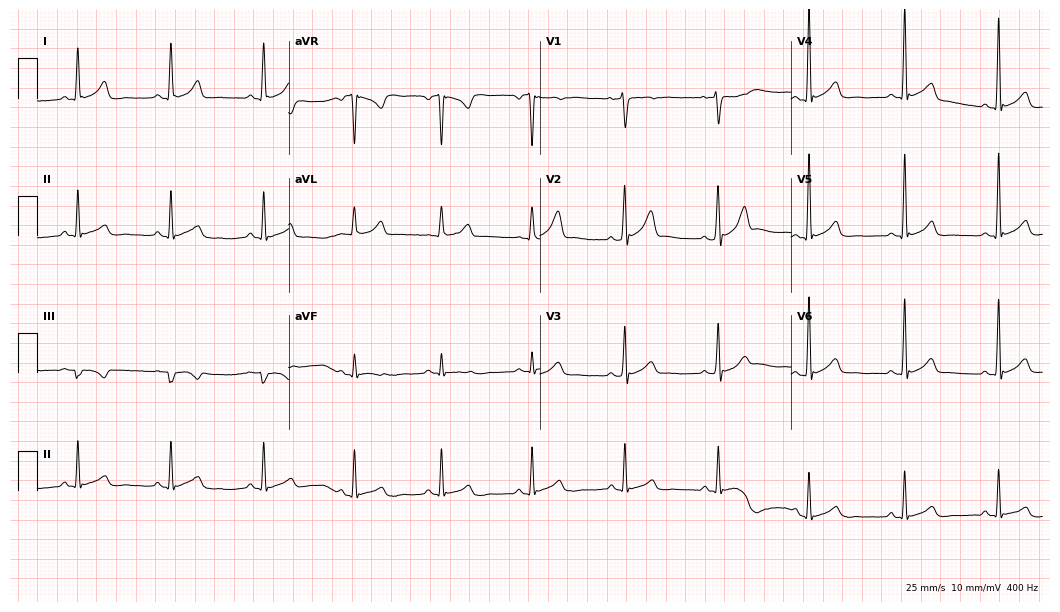
Standard 12-lead ECG recorded from a 36-year-old man. Read as a normal ECG.